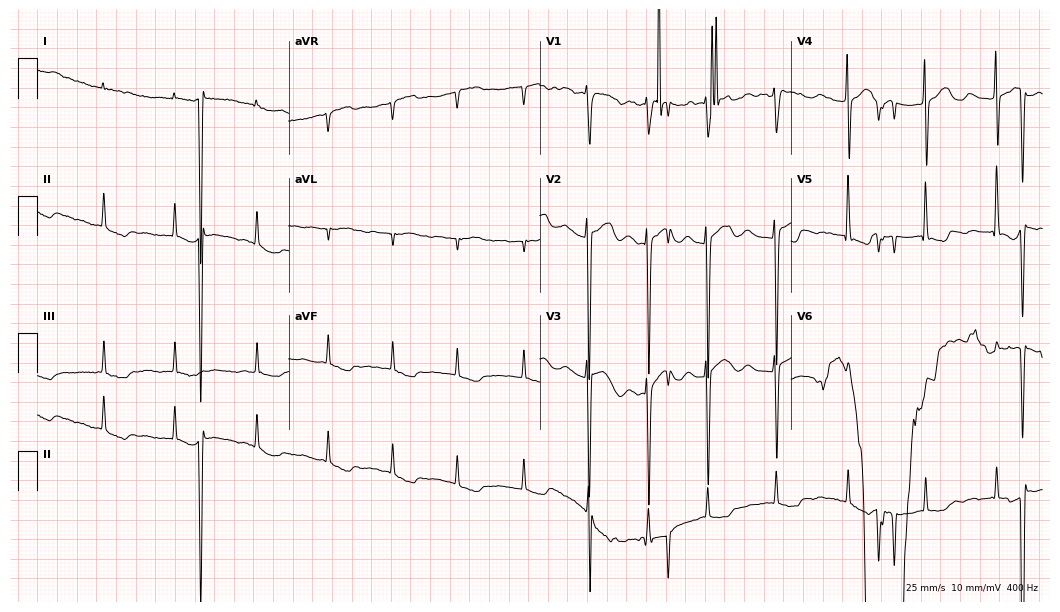
ECG (10.2-second recording at 400 Hz) — a 76-year-old woman. Findings include atrial fibrillation.